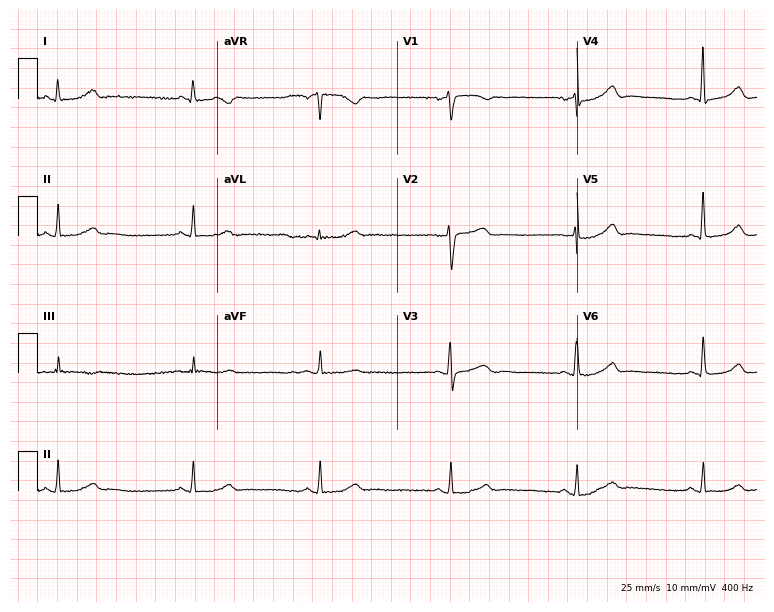
ECG — a 51-year-old female. Labelled as a normal ECG.